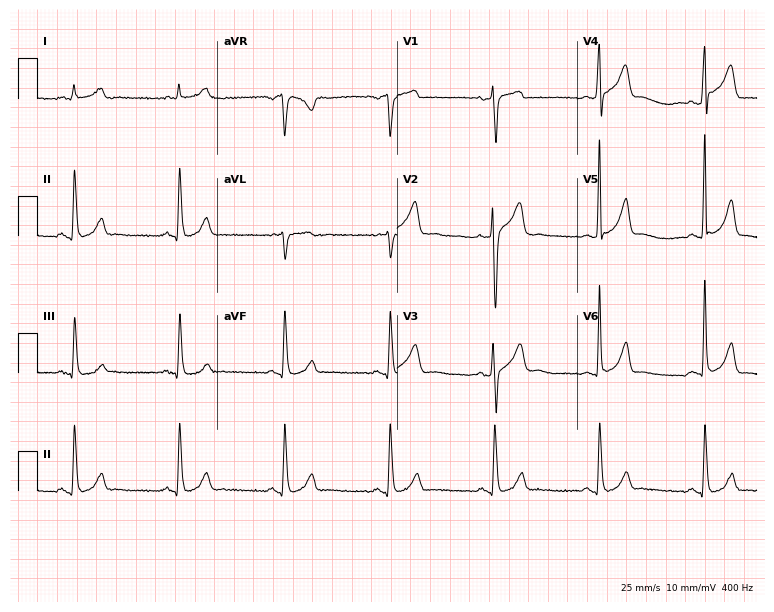
12-lead ECG from a 73-year-old man. No first-degree AV block, right bundle branch block (RBBB), left bundle branch block (LBBB), sinus bradycardia, atrial fibrillation (AF) or sinus tachycardia recorded for this tracing.